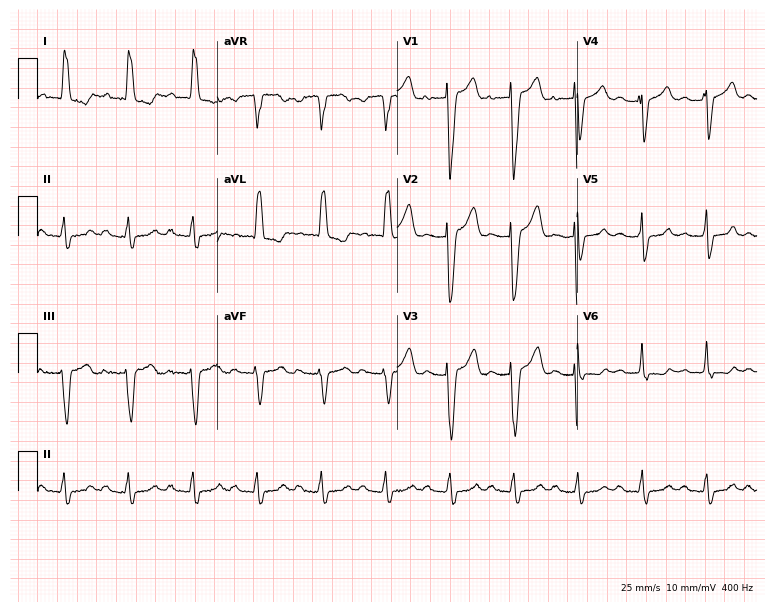
Resting 12-lead electrocardiogram (7.3-second recording at 400 Hz). Patient: a female, 67 years old. None of these six findings is recorded: first-degree AV block, right bundle branch block, left bundle branch block, sinus bradycardia, atrial fibrillation, sinus tachycardia.